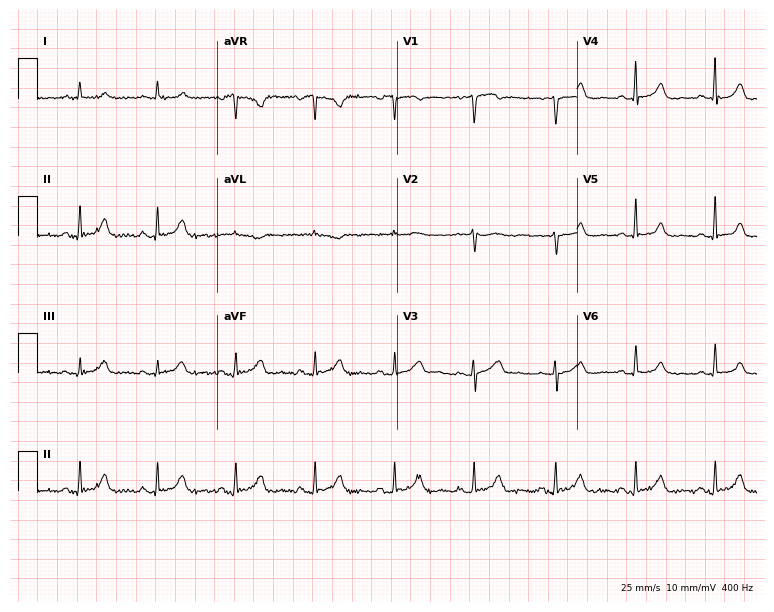
12-lead ECG (7.3-second recording at 400 Hz) from a 75-year-old female. Labelled as a normal ECG.